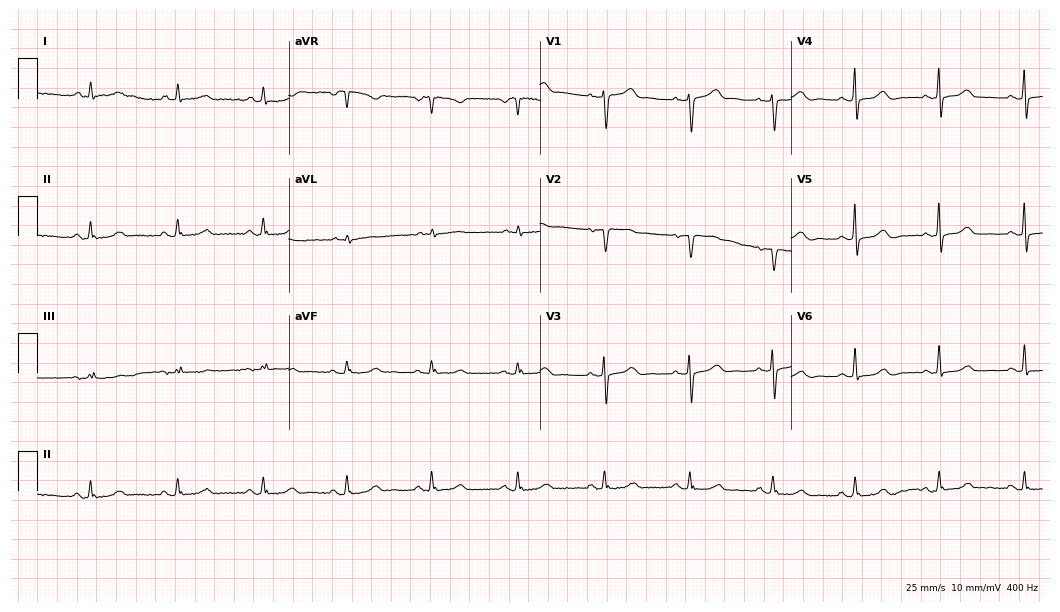
Resting 12-lead electrocardiogram (10.2-second recording at 400 Hz). Patient: a 66-year-old female. Read as a normal ECG.